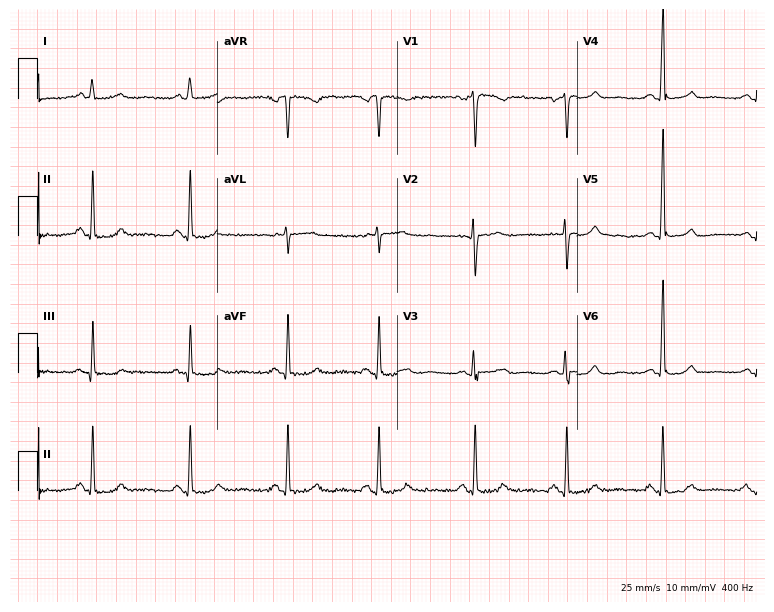
Electrocardiogram, a 40-year-old woman. Of the six screened findings (first-degree AV block, right bundle branch block, left bundle branch block, sinus bradycardia, atrial fibrillation, sinus tachycardia), none is recorded.